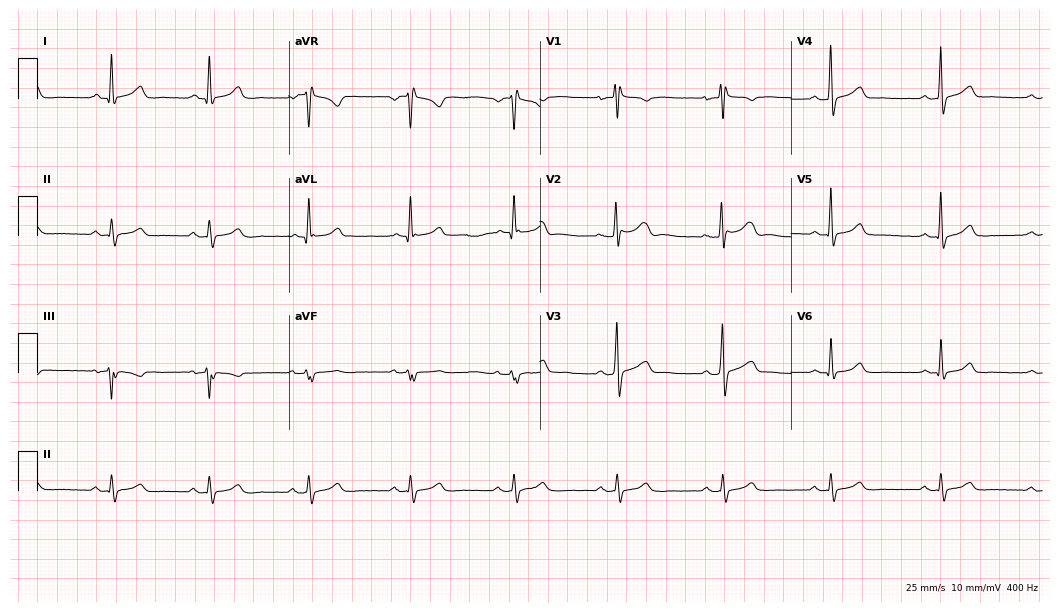
ECG — a male patient, 33 years old. Findings include right bundle branch block.